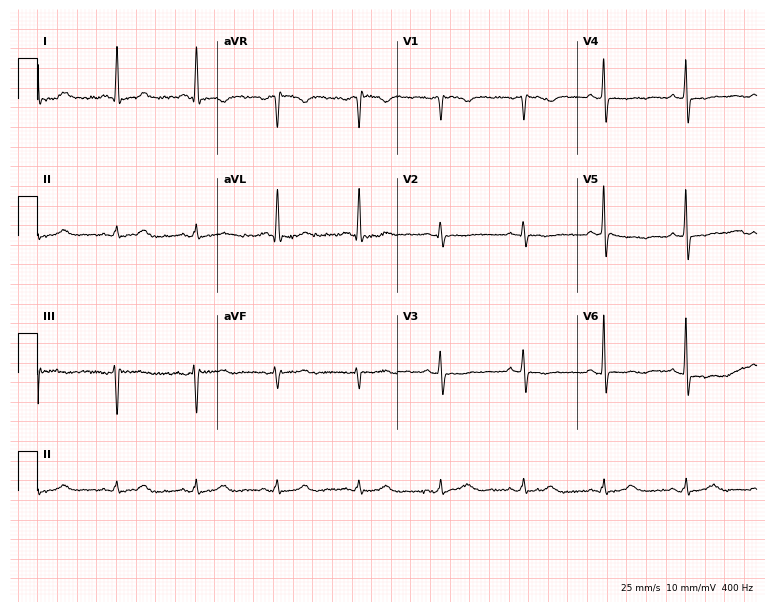
Resting 12-lead electrocardiogram. Patient: a woman, 55 years old. None of these six findings is recorded: first-degree AV block, right bundle branch block, left bundle branch block, sinus bradycardia, atrial fibrillation, sinus tachycardia. Only these six findings were labelled.